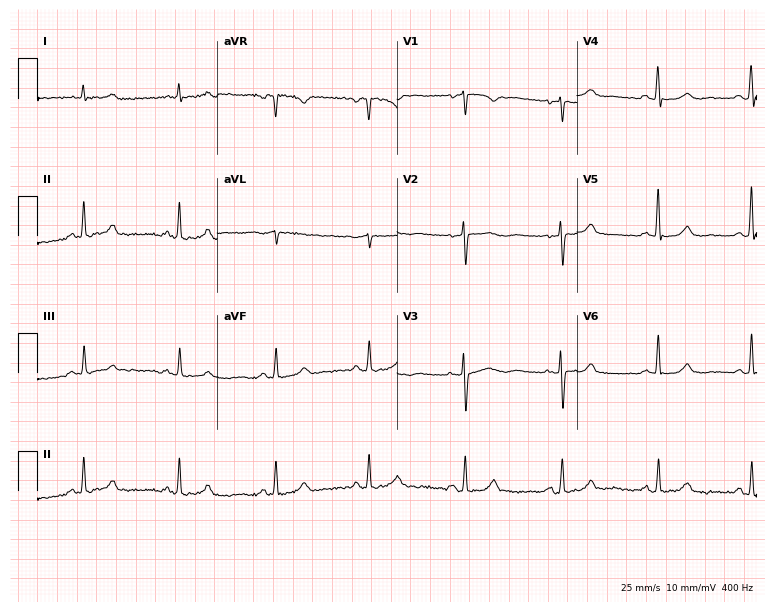
ECG — a 49-year-old female patient. Screened for six findings — first-degree AV block, right bundle branch block, left bundle branch block, sinus bradycardia, atrial fibrillation, sinus tachycardia — none is recorded. Findings outside these six are not listed.